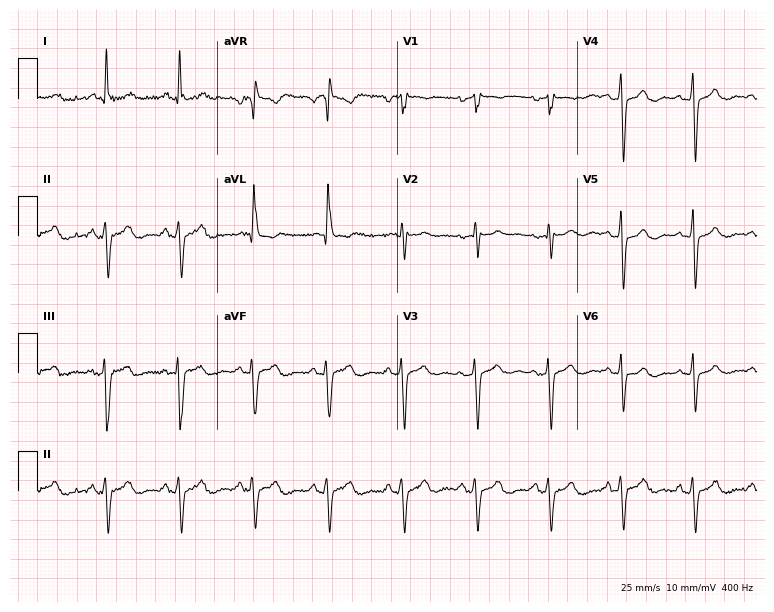
12-lead ECG (7.3-second recording at 400 Hz) from a female patient, 70 years old. Screened for six findings — first-degree AV block, right bundle branch block (RBBB), left bundle branch block (LBBB), sinus bradycardia, atrial fibrillation (AF), sinus tachycardia — none is recorded.